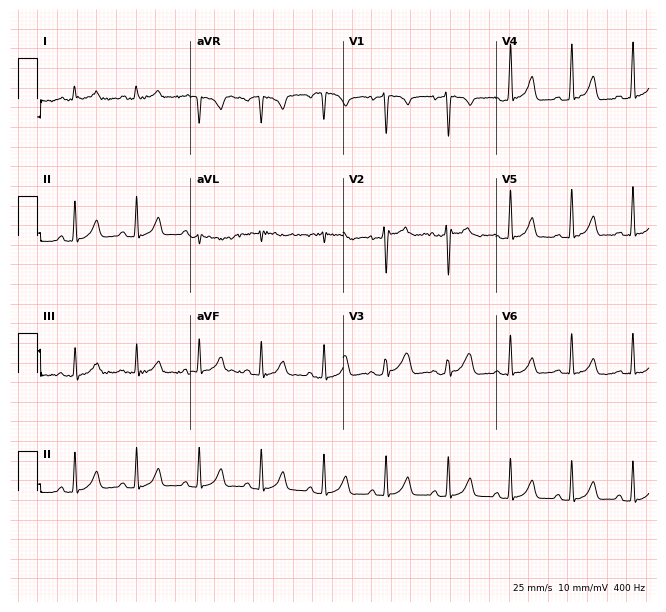
12-lead ECG from a 29-year-old female. No first-degree AV block, right bundle branch block, left bundle branch block, sinus bradycardia, atrial fibrillation or sinus tachycardia recorded for this tracing.